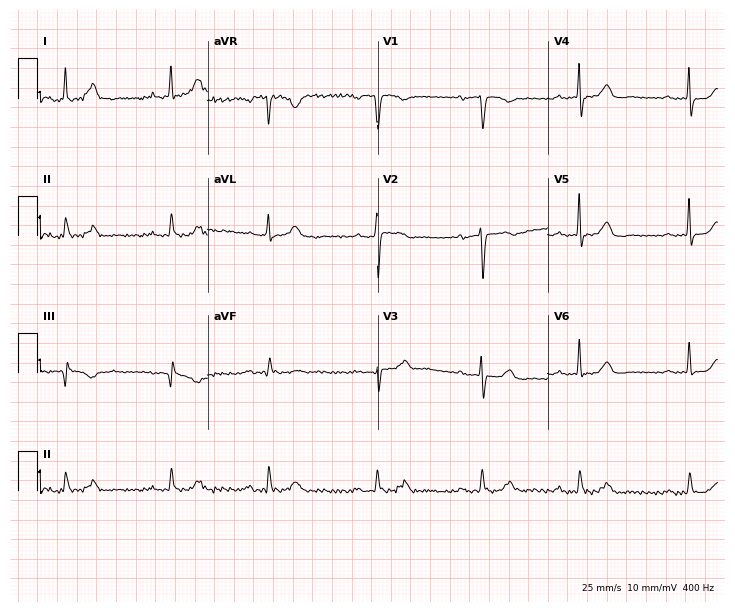
12-lead ECG from a female, 74 years old (6.9-second recording at 400 Hz). No first-degree AV block, right bundle branch block, left bundle branch block, sinus bradycardia, atrial fibrillation or sinus tachycardia recorded for this tracing.